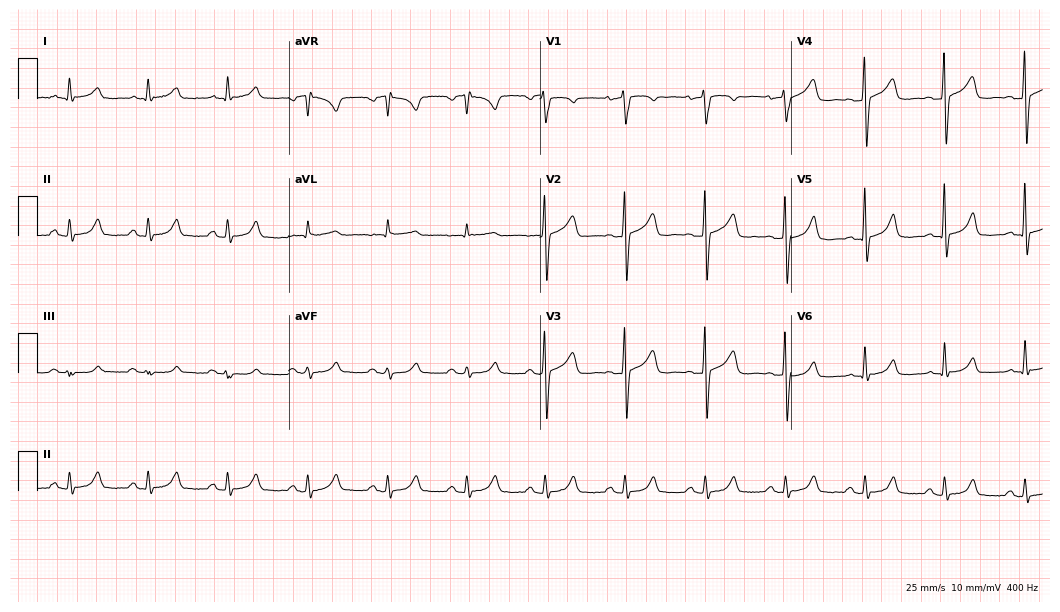
Electrocardiogram, a 62-year-old man. Overall reading on record: normal ECG.